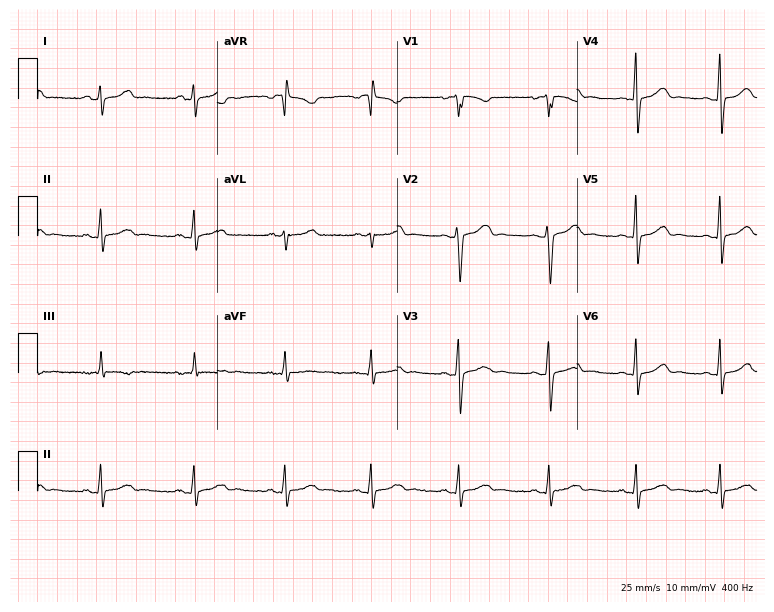
Resting 12-lead electrocardiogram. Patient: a female, 28 years old. None of these six findings is recorded: first-degree AV block, right bundle branch block, left bundle branch block, sinus bradycardia, atrial fibrillation, sinus tachycardia. Only these six findings were labelled.